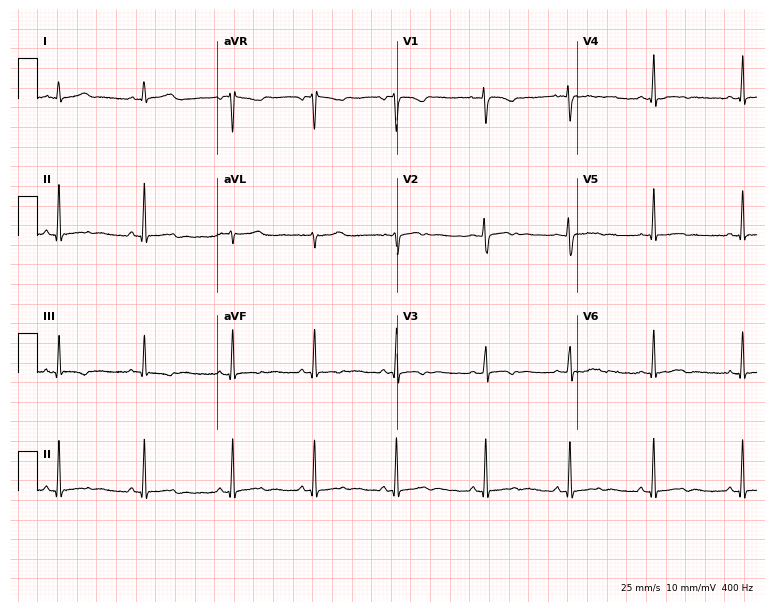
ECG — a female, 28 years old. Labelled as a normal ECG.